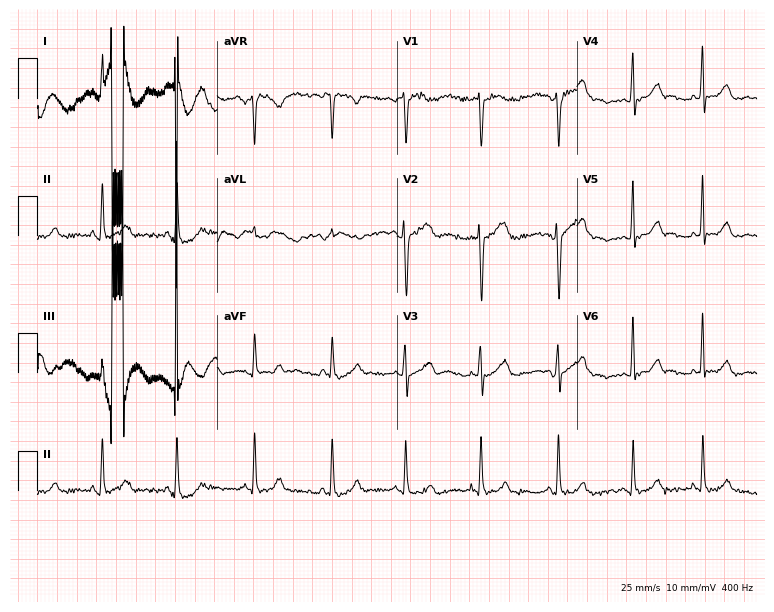
12-lead ECG (7.3-second recording at 400 Hz) from a 25-year-old woman. Screened for six findings — first-degree AV block, right bundle branch block, left bundle branch block, sinus bradycardia, atrial fibrillation, sinus tachycardia — none is recorded. Other findings, if any, are not listed.